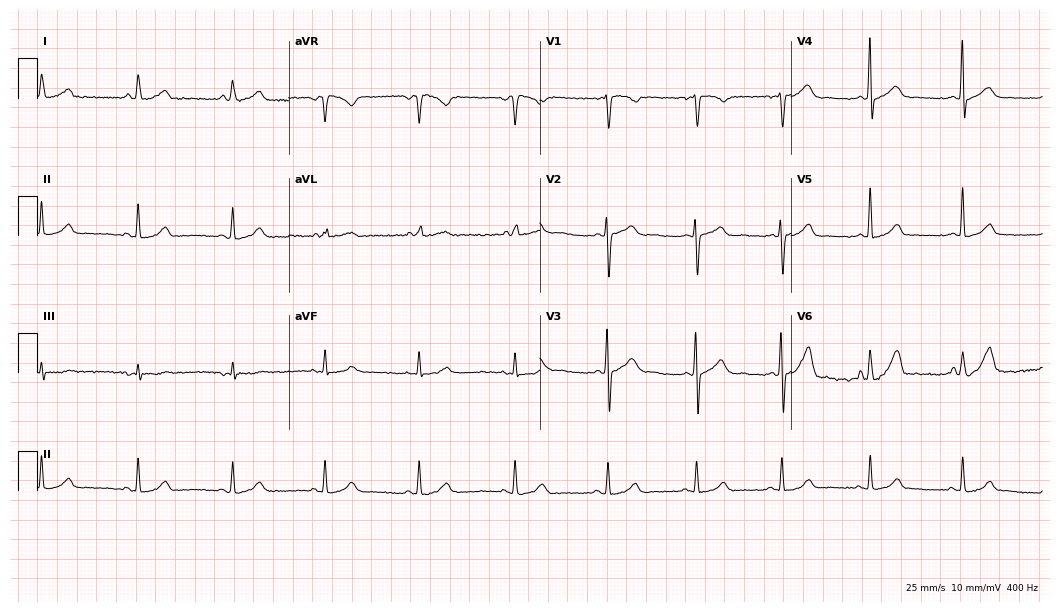
Resting 12-lead electrocardiogram (10.2-second recording at 400 Hz). Patient: a 29-year-old female. Read as a normal ECG.